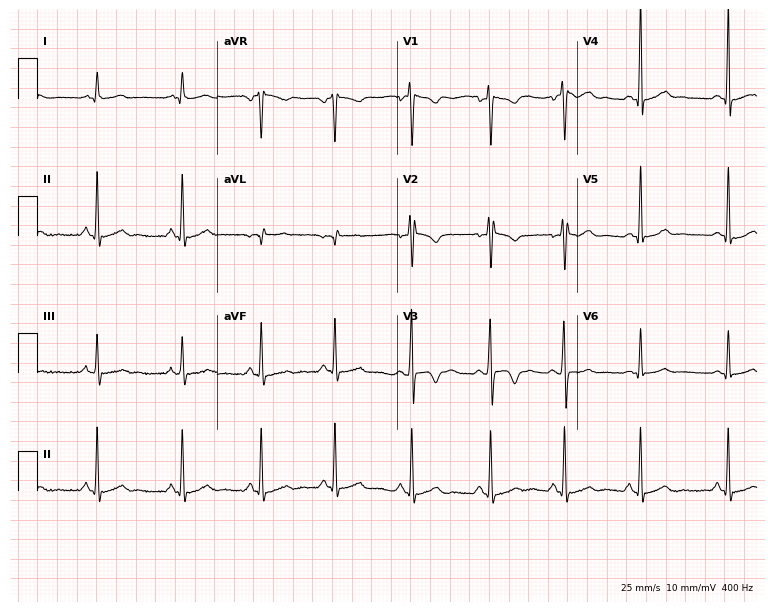
Electrocardiogram (7.3-second recording at 400 Hz), a 21-year-old man. Of the six screened findings (first-degree AV block, right bundle branch block (RBBB), left bundle branch block (LBBB), sinus bradycardia, atrial fibrillation (AF), sinus tachycardia), none is recorded. Findings outside these six are not listed.